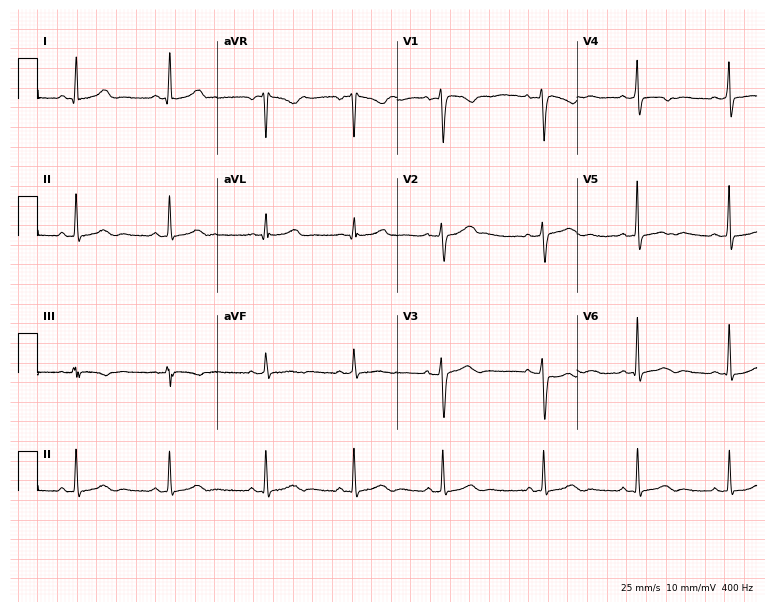
Electrocardiogram, a 46-year-old female. Of the six screened findings (first-degree AV block, right bundle branch block, left bundle branch block, sinus bradycardia, atrial fibrillation, sinus tachycardia), none is recorded.